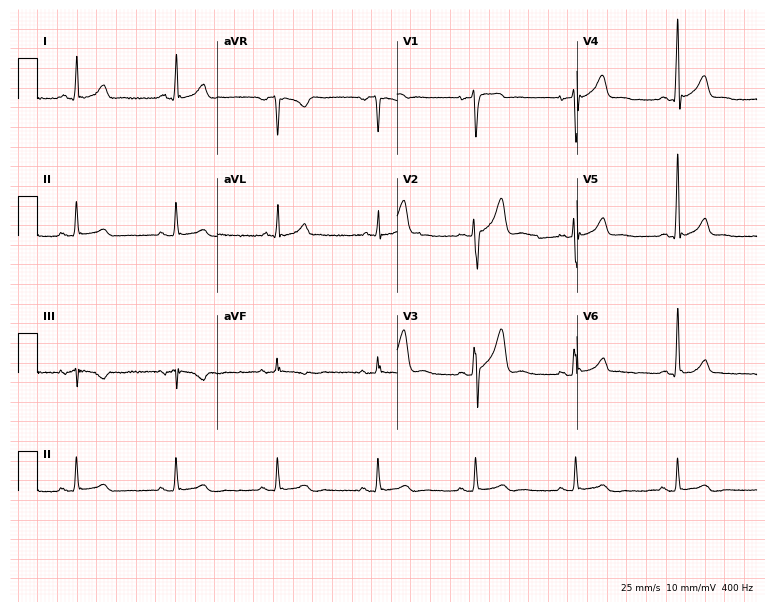
ECG — a 50-year-old male patient. Screened for six findings — first-degree AV block, right bundle branch block, left bundle branch block, sinus bradycardia, atrial fibrillation, sinus tachycardia — none is recorded. Other findings, if any, are not listed.